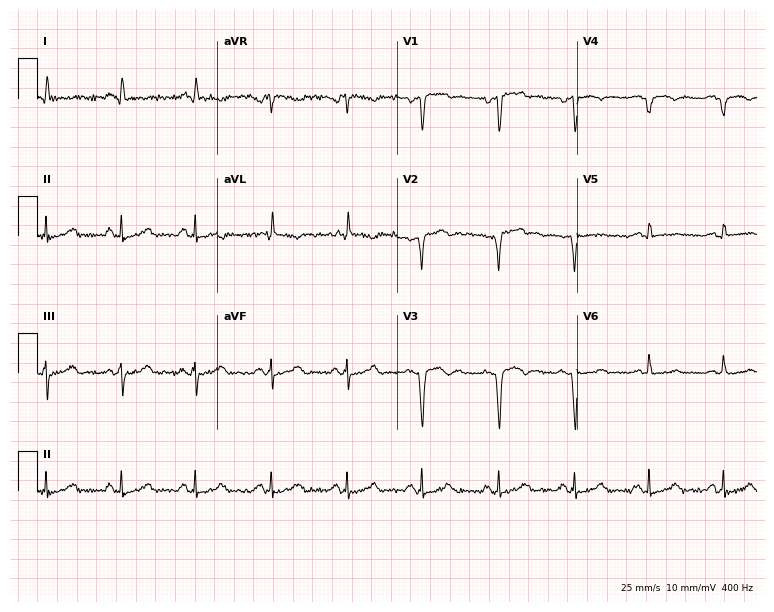
Resting 12-lead electrocardiogram. Patient: a 46-year-old man. None of these six findings is recorded: first-degree AV block, right bundle branch block, left bundle branch block, sinus bradycardia, atrial fibrillation, sinus tachycardia. Other findings, if any, are not listed.